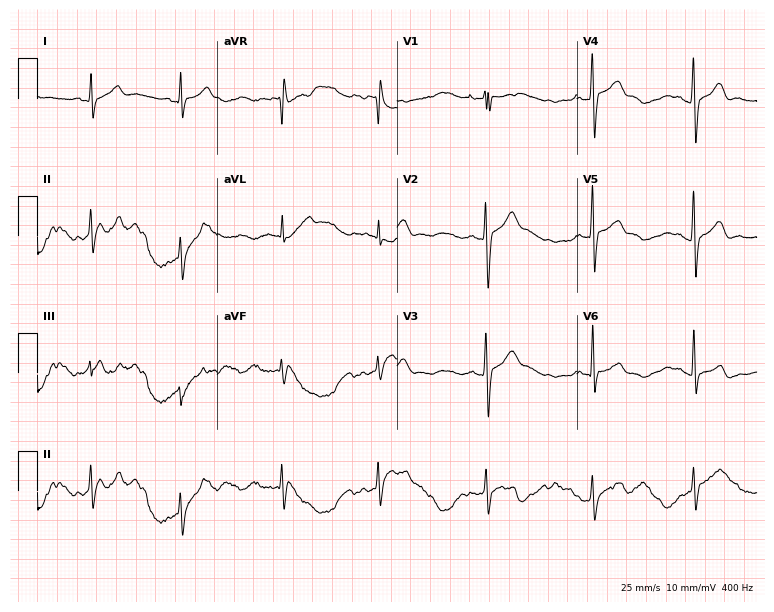
Standard 12-lead ECG recorded from a male patient, 26 years old (7.3-second recording at 400 Hz). None of these six findings is recorded: first-degree AV block, right bundle branch block, left bundle branch block, sinus bradycardia, atrial fibrillation, sinus tachycardia. Other findings, if any, are not listed.